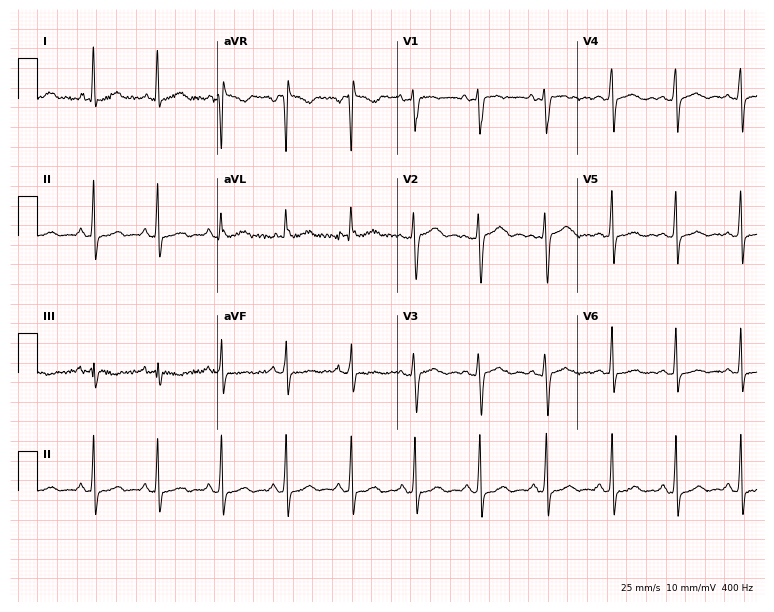
12-lead ECG (7.3-second recording at 400 Hz) from a female, 43 years old. Labelled as a normal ECG.